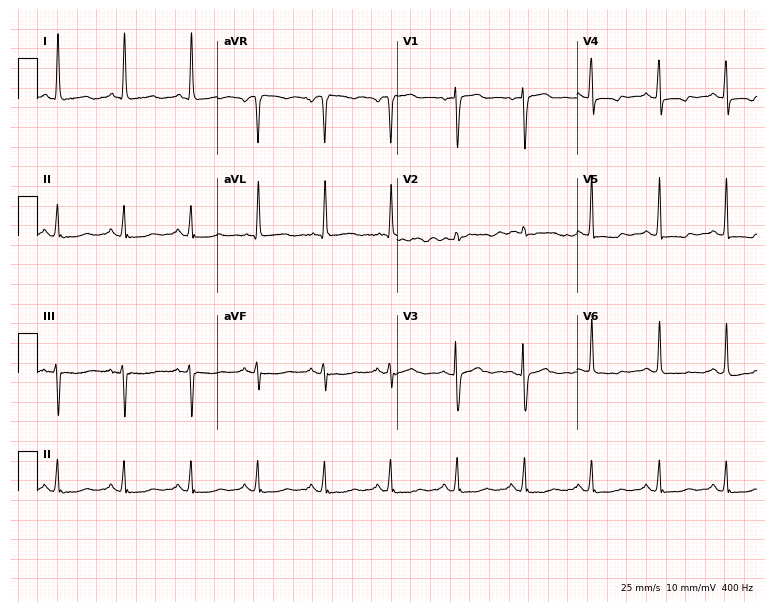
Standard 12-lead ECG recorded from a woman, 70 years old (7.3-second recording at 400 Hz). None of these six findings is recorded: first-degree AV block, right bundle branch block (RBBB), left bundle branch block (LBBB), sinus bradycardia, atrial fibrillation (AF), sinus tachycardia.